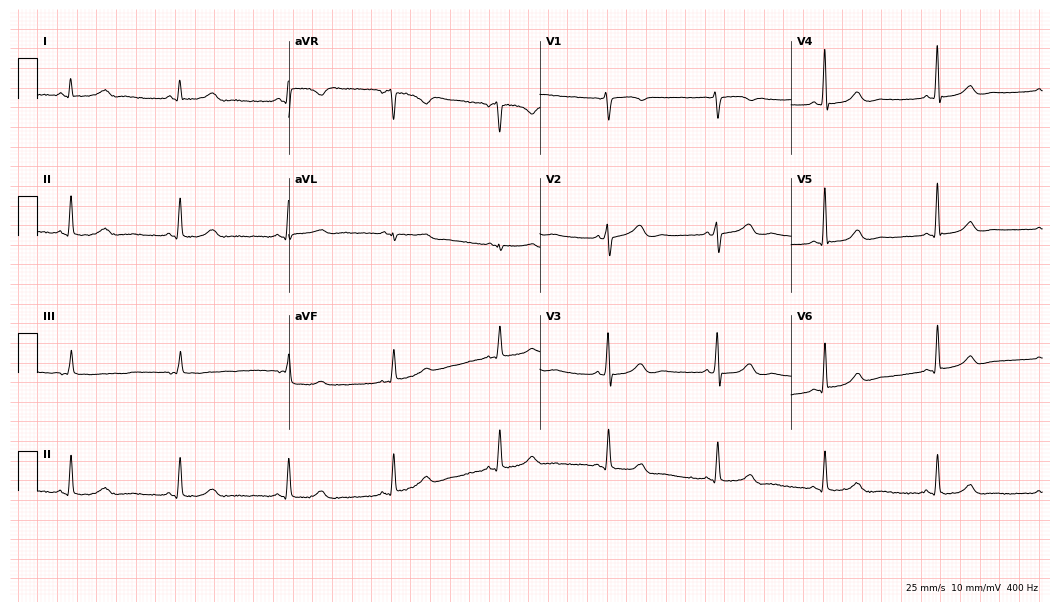
ECG — a female patient, 54 years old. Screened for six findings — first-degree AV block, right bundle branch block (RBBB), left bundle branch block (LBBB), sinus bradycardia, atrial fibrillation (AF), sinus tachycardia — none is recorded.